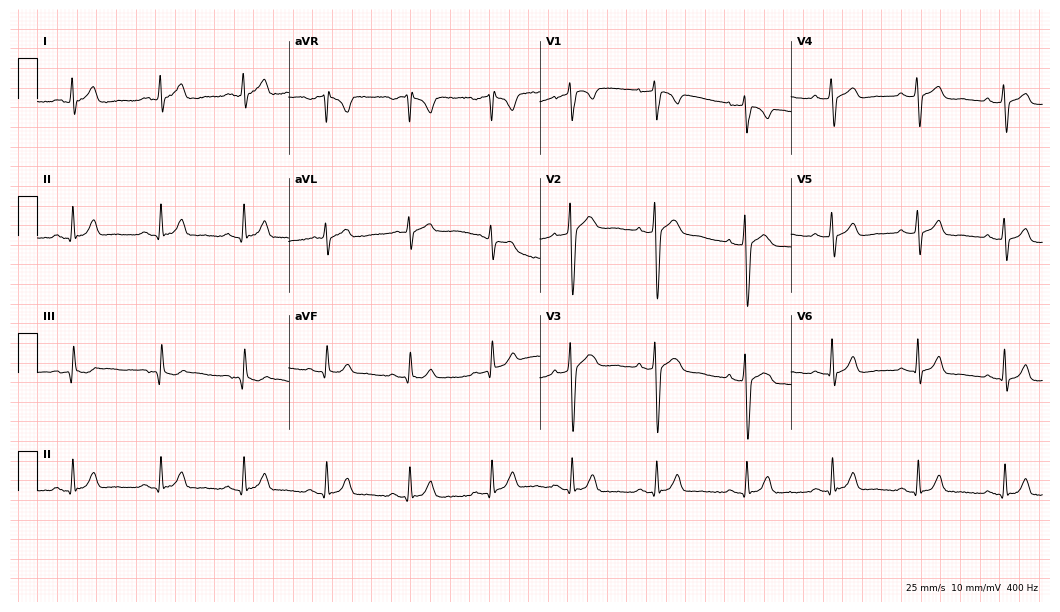
Electrocardiogram, a male patient, 41 years old. Overall reading on record: normal ECG.